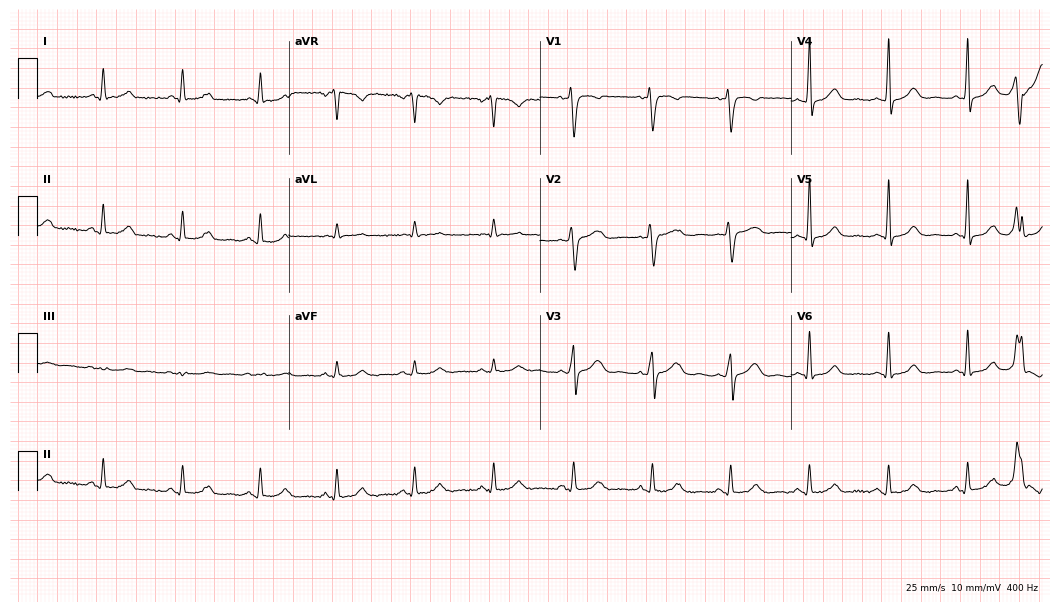
ECG — a male patient, 55 years old. Screened for six findings — first-degree AV block, right bundle branch block, left bundle branch block, sinus bradycardia, atrial fibrillation, sinus tachycardia — none is recorded. Only these six findings were labelled.